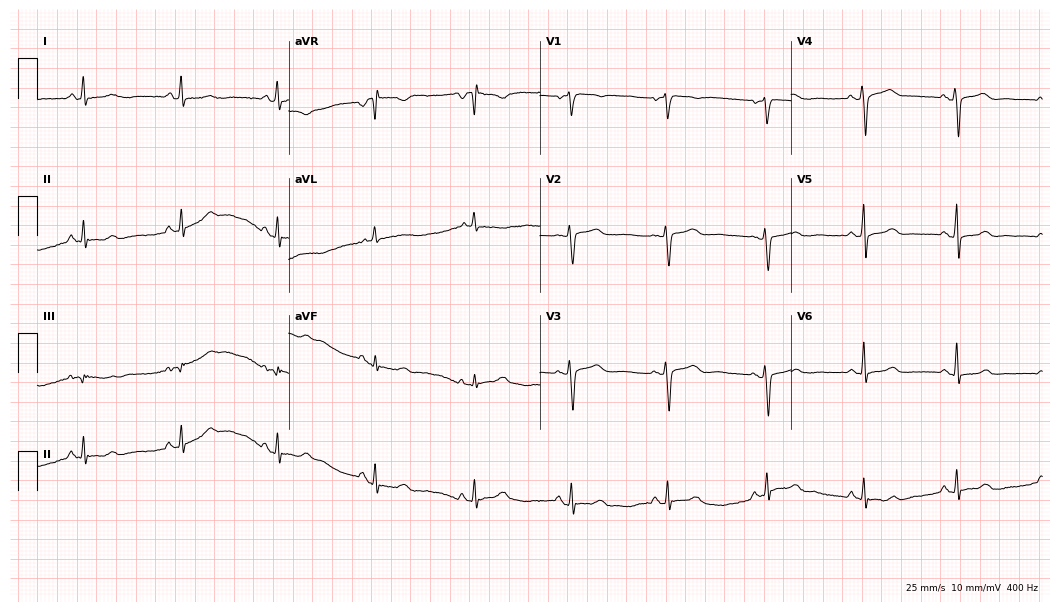
ECG (10.2-second recording at 400 Hz) — a 74-year-old woman. Labelled as a normal ECG.